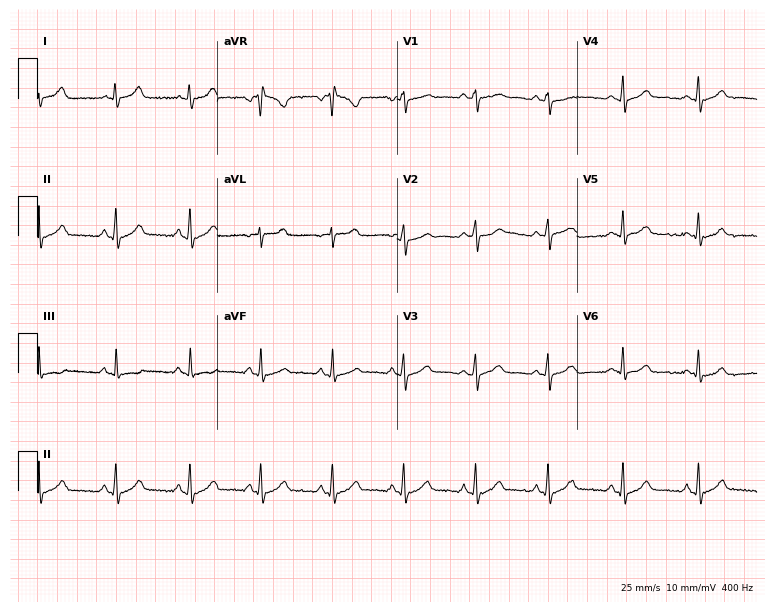
Electrocardiogram, a female, 18 years old. Overall reading on record: normal ECG.